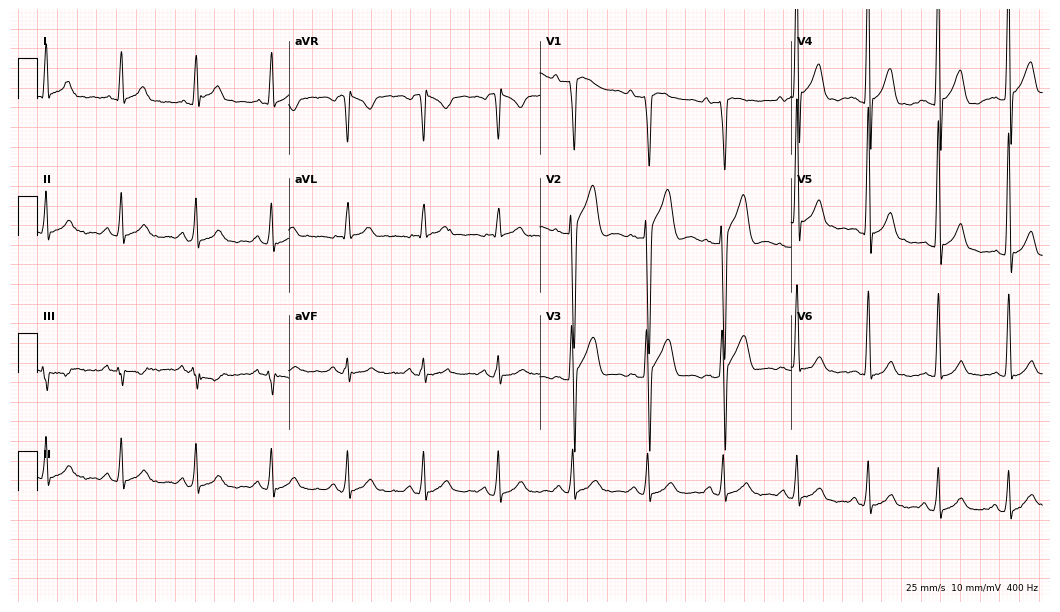
ECG (10.2-second recording at 400 Hz) — a 36-year-old male. Screened for six findings — first-degree AV block, right bundle branch block, left bundle branch block, sinus bradycardia, atrial fibrillation, sinus tachycardia — none is recorded. Findings outside these six are not listed.